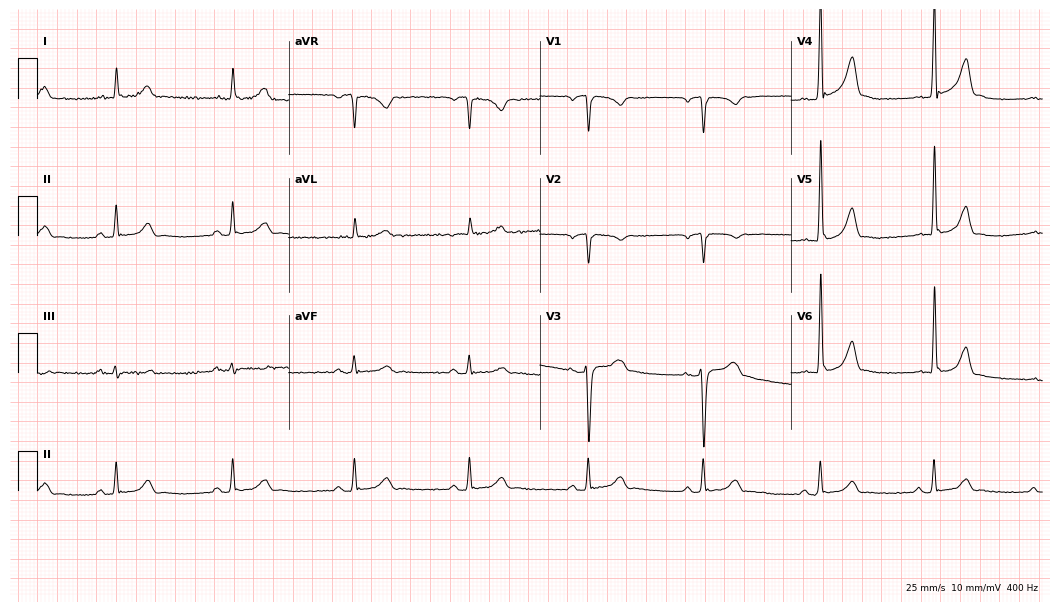
Standard 12-lead ECG recorded from a 55-year-old man. None of these six findings is recorded: first-degree AV block, right bundle branch block (RBBB), left bundle branch block (LBBB), sinus bradycardia, atrial fibrillation (AF), sinus tachycardia.